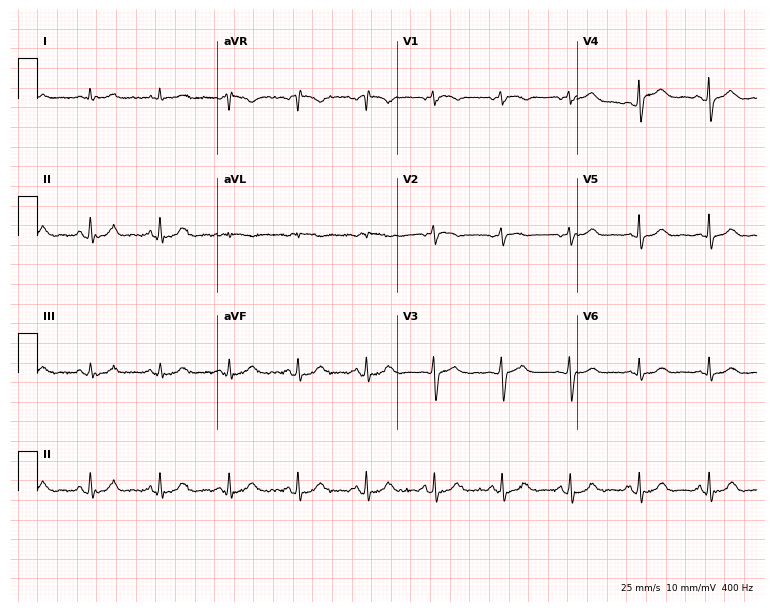
12-lead ECG from a 70-year-old male patient (7.3-second recording at 400 Hz). Recorded interpretation: within normal limits.